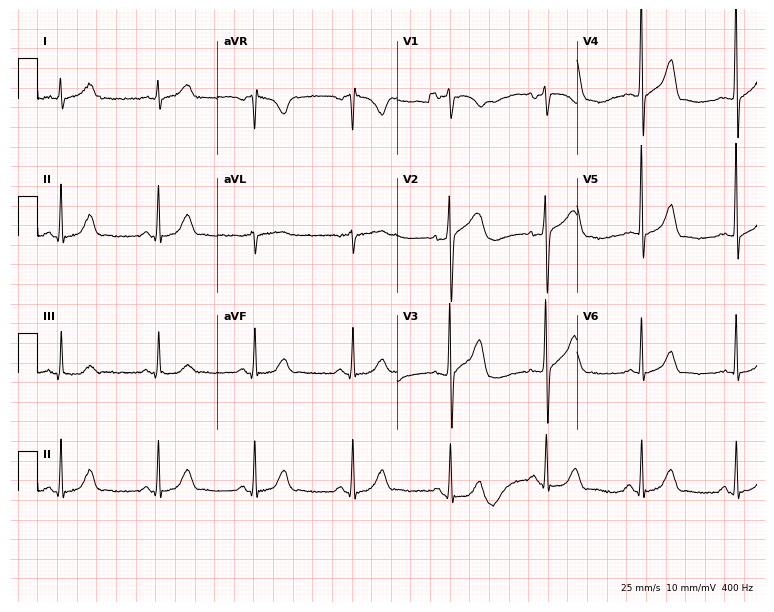
12-lead ECG from a 46-year-old male patient. Recorded interpretation: within normal limits.